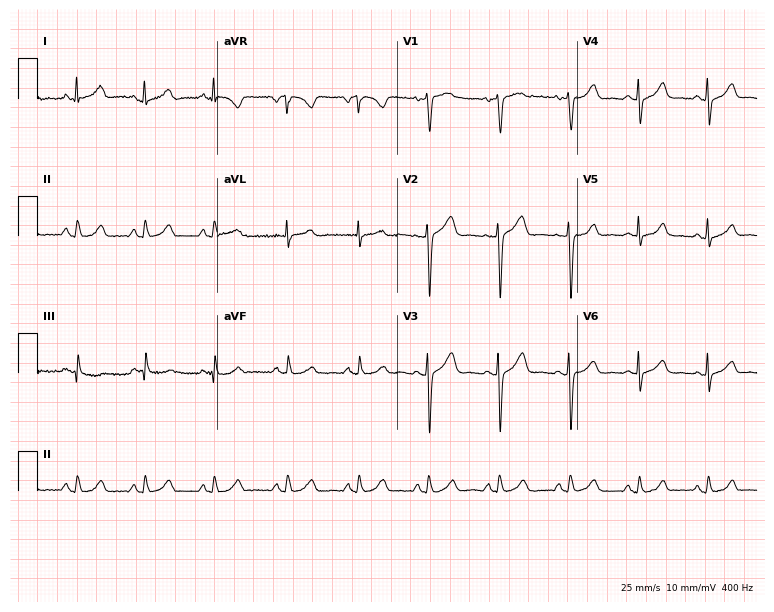
Standard 12-lead ECG recorded from a female patient, 42 years old. Read as a normal ECG.